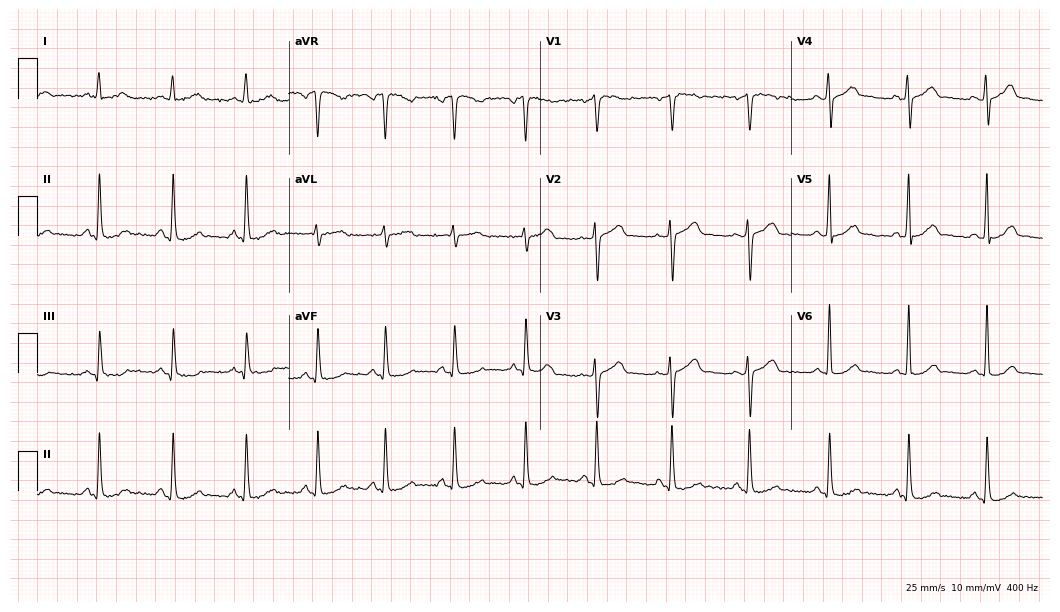
Electrocardiogram, a man, 64 years old. Of the six screened findings (first-degree AV block, right bundle branch block (RBBB), left bundle branch block (LBBB), sinus bradycardia, atrial fibrillation (AF), sinus tachycardia), none is recorded. Only these six findings were labelled.